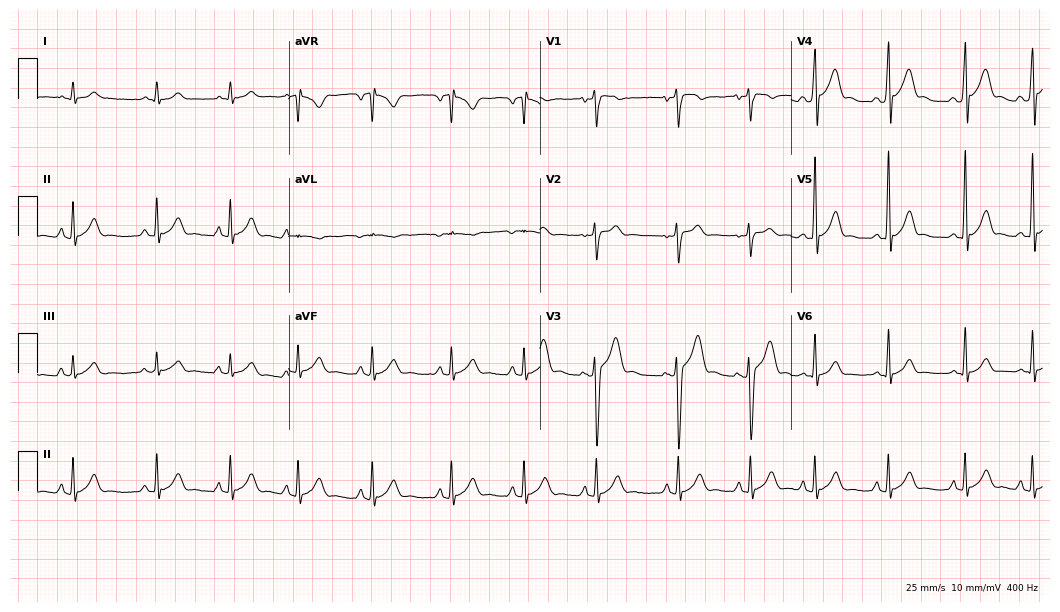
Resting 12-lead electrocardiogram (10.2-second recording at 400 Hz). Patient: a male, 17 years old. Read as a normal ECG.